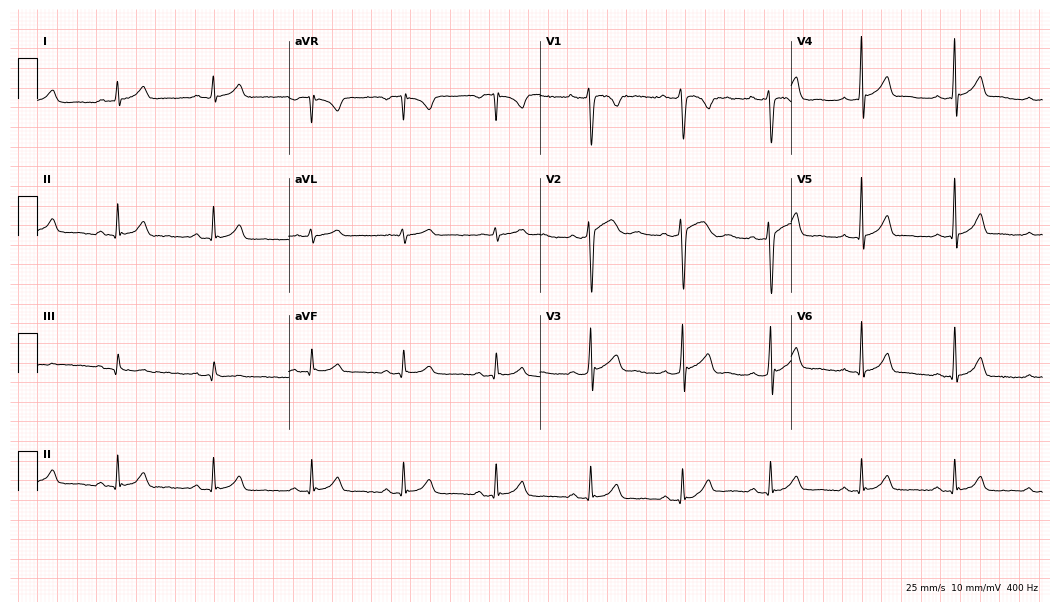
ECG — a man, 20 years old. Screened for six findings — first-degree AV block, right bundle branch block (RBBB), left bundle branch block (LBBB), sinus bradycardia, atrial fibrillation (AF), sinus tachycardia — none is recorded.